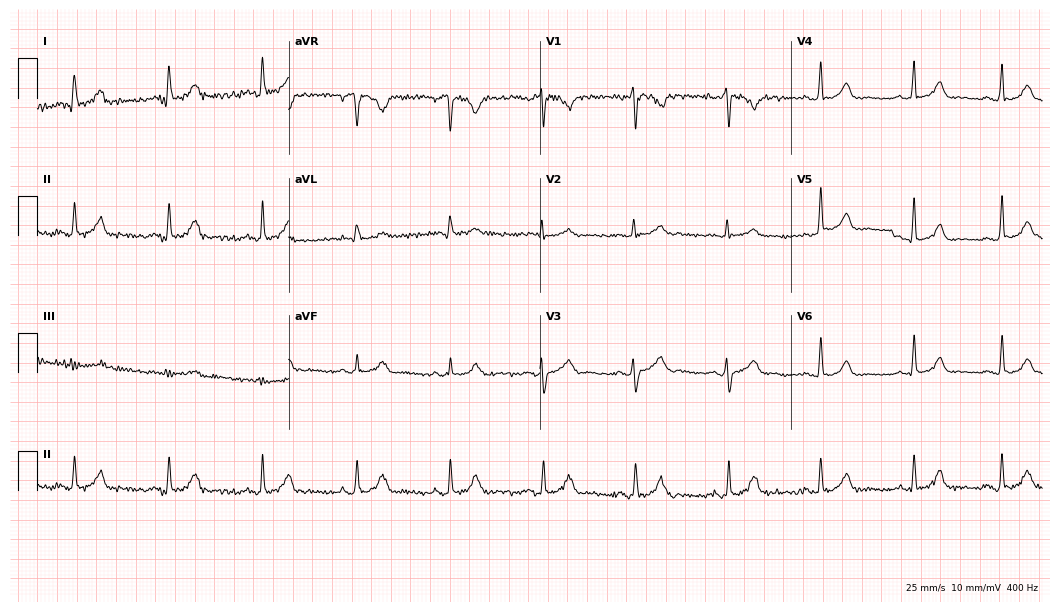
12-lead ECG (10.2-second recording at 400 Hz) from a woman, 48 years old. Labelled as a normal ECG.